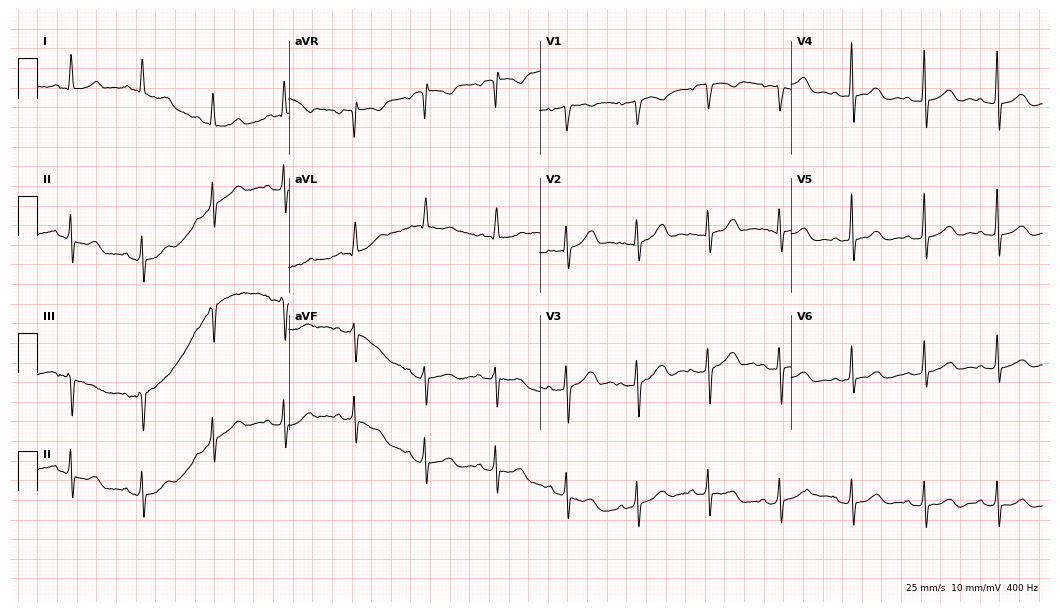
Electrocardiogram, a female patient, 70 years old. Overall reading on record: normal ECG.